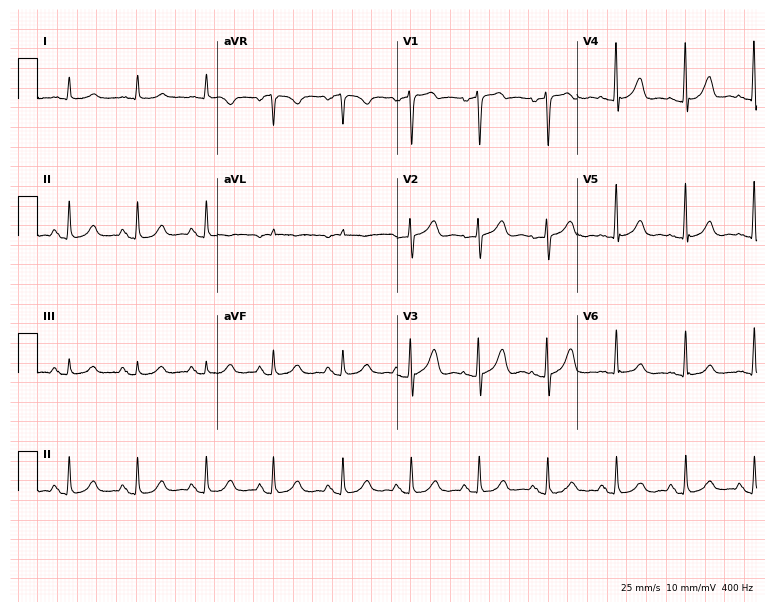
ECG (7.3-second recording at 400 Hz) — an 85-year-old woman. Screened for six findings — first-degree AV block, right bundle branch block, left bundle branch block, sinus bradycardia, atrial fibrillation, sinus tachycardia — none is recorded.